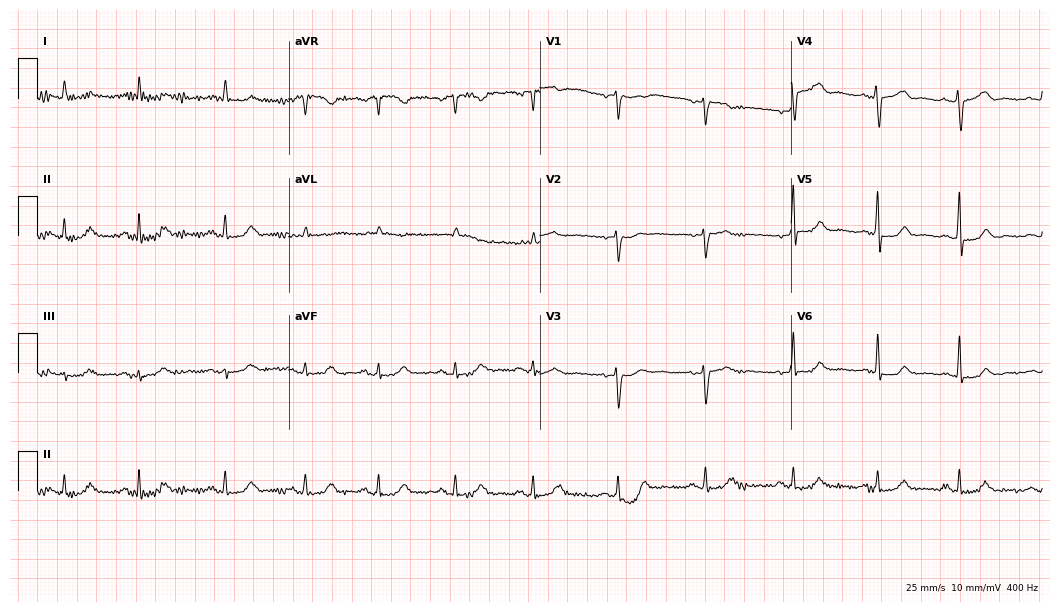
Electrocardiogram, a female, 68 years old. Of the six screened findings (first-degree AV block, right bundle branch block, left bundle branch block, sinus bradycardia, atrial fibrillation, sinus tachycardia), none is recorded. Only these six findings were labelled.